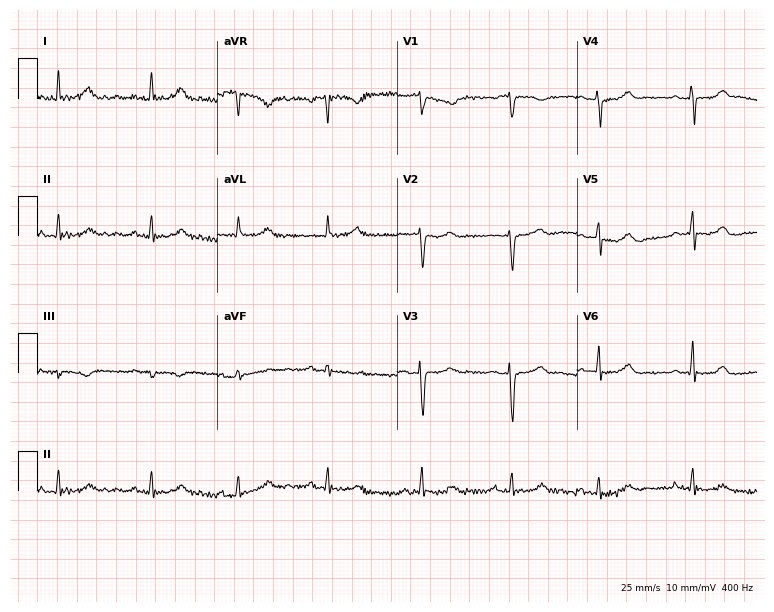
Resting 12-lead electrocardiogram (7.3-second recording at 400 Hz). Patient: a male, 65 years old. Read as a normal ECG.